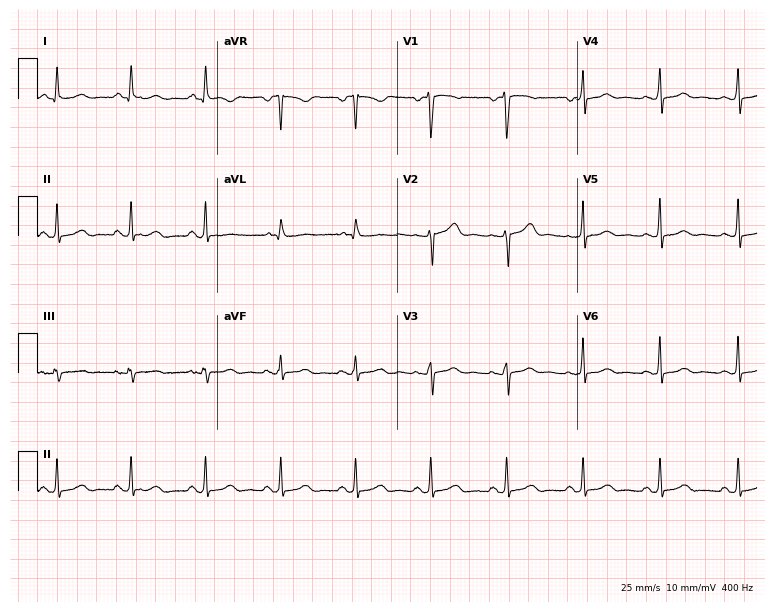
ECG — a female patient, 51 years old. Labelled as a normal ECG.